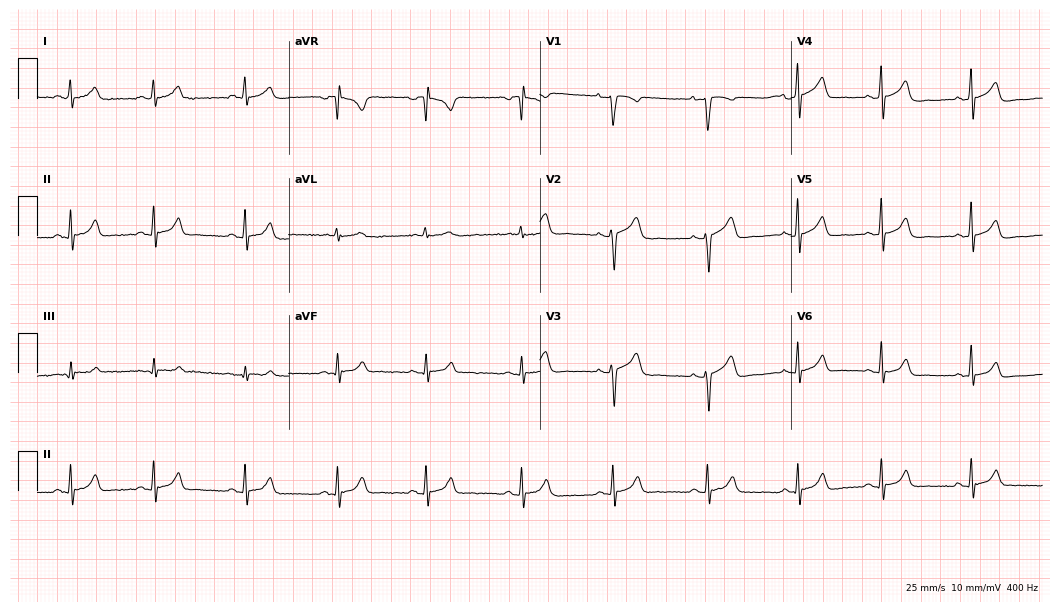
Electrocardiogram (10.2-second recording at 400 Hz), a female patient, 29 years old. Overall reading on record: normal ECG.